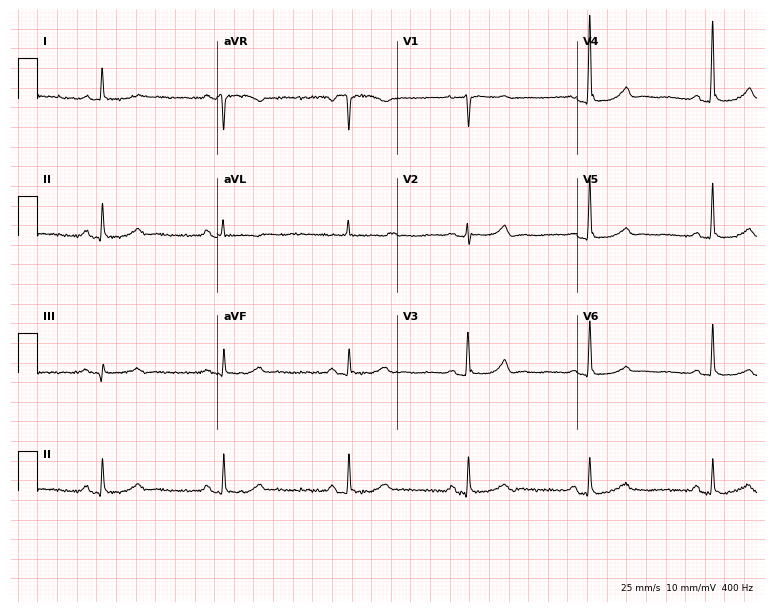
Standard 12-lead ECG recorded from a female, 76 years old. The tracing shows sinus bradycardia (a sinus rate of 50 beats per minute or less).